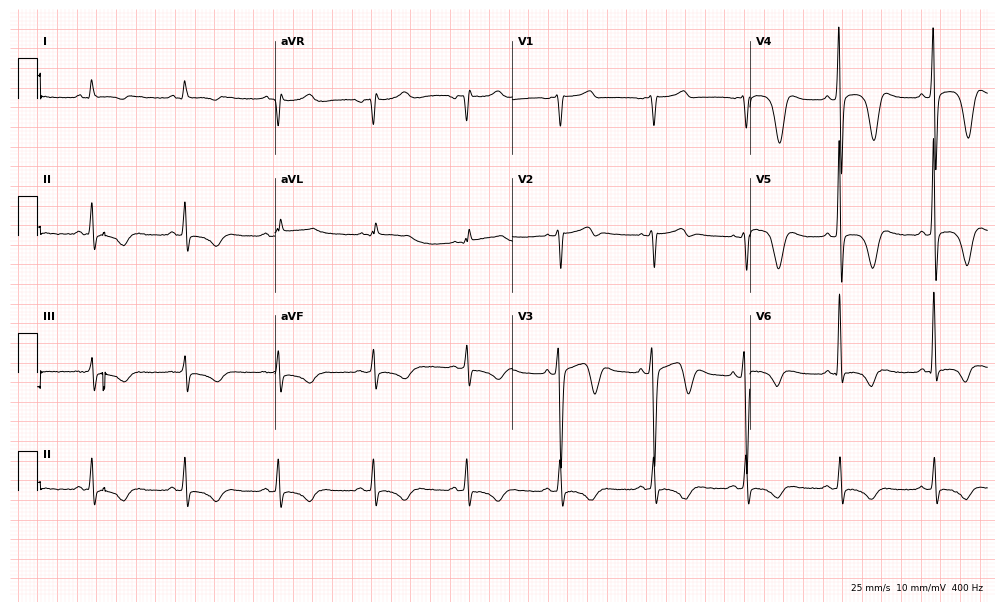
12-lead ECG from a male patient, 56 years old (9.7-second recording at 400 Hz). No first-degree AV block, right bundle branch block (RBBB), left bundle branch block (LBBB), sinus bradycardia, atrial fibrillation (AF) or sinus tachycardia recorded for this tracing.